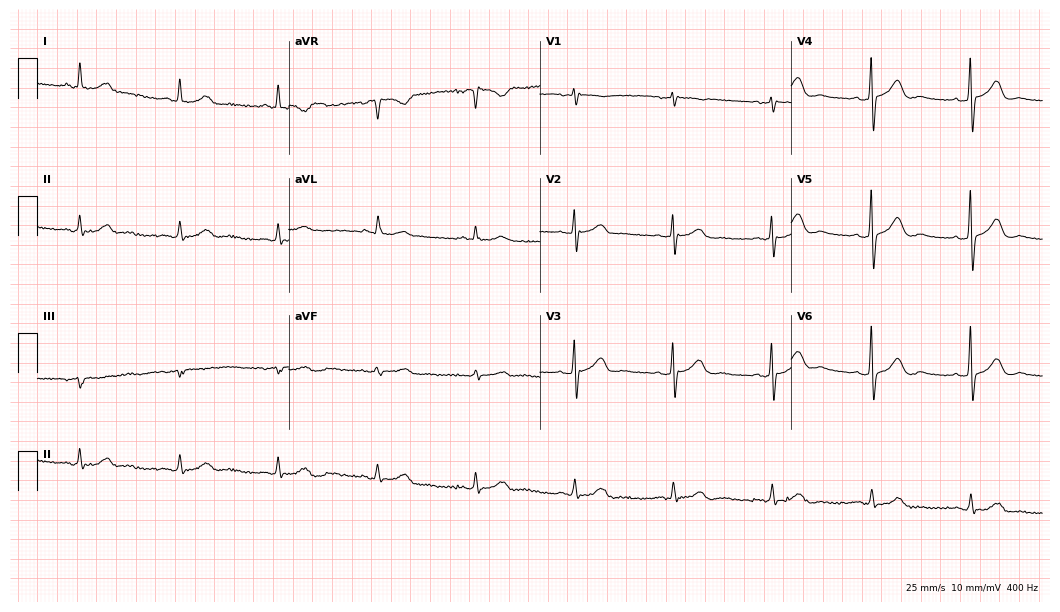
12-lead ECG from a woman, 69 years old (10.2-second recording at 400 Hz). Recorded interpretation: within normal limits.